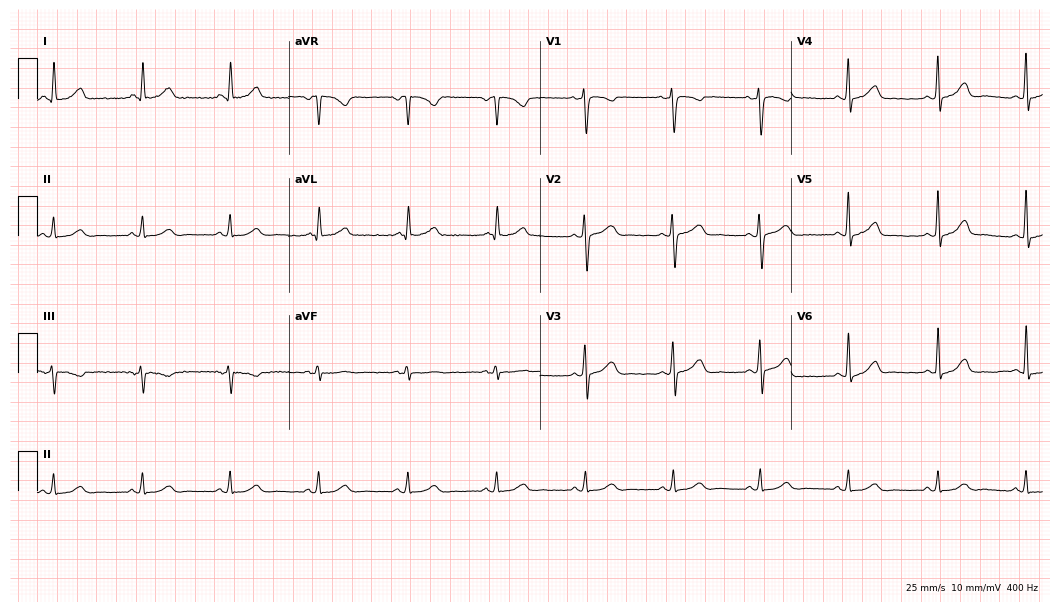
12-lead ECG from a male patient, 40 years old (10.2-second recording at 400 Hz). Recorded interpretation: within normal limits.